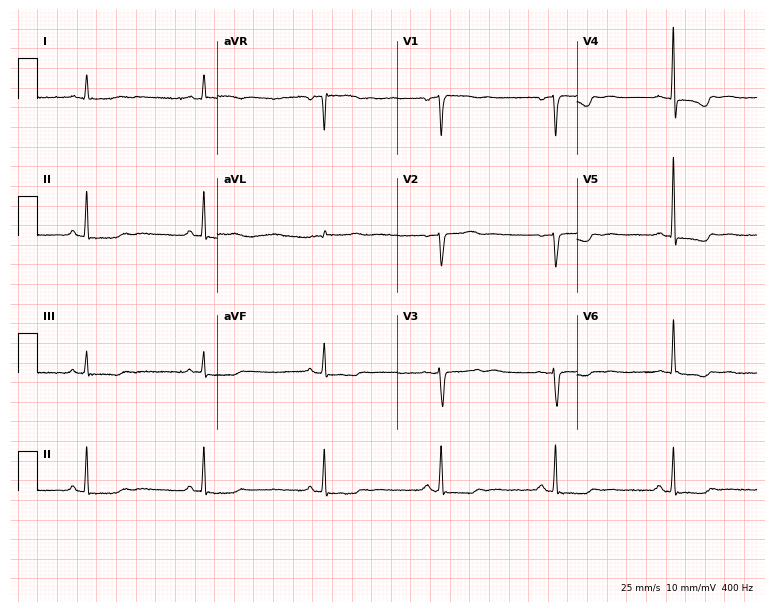
Electrocardiogram, a woman, 53 years old. Of the six screened findings (first-degree AV block, right bundle branch block, left bundle branch block, sinus bradycardia, atrial fibrillation, sinus tachycardia), none is recorded.